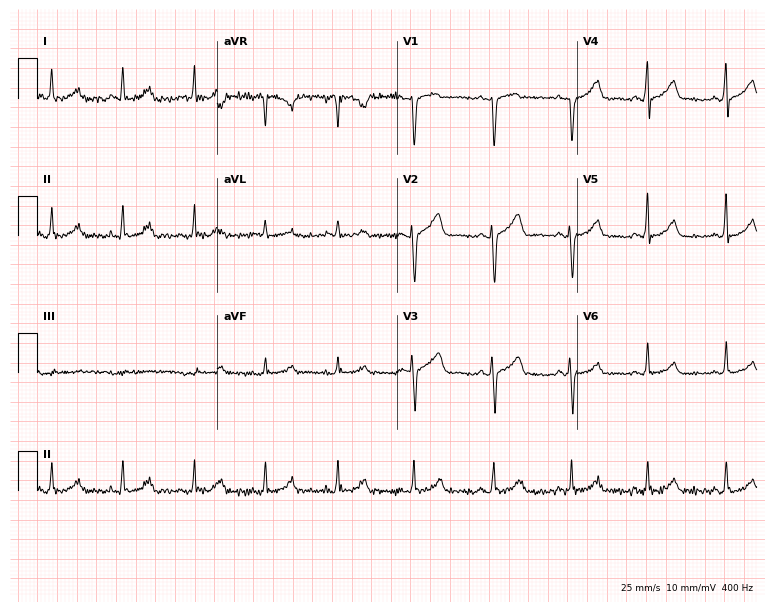
12-lead ECG from a female patient, 33 years old. Recorded interpretation: within normal limits.